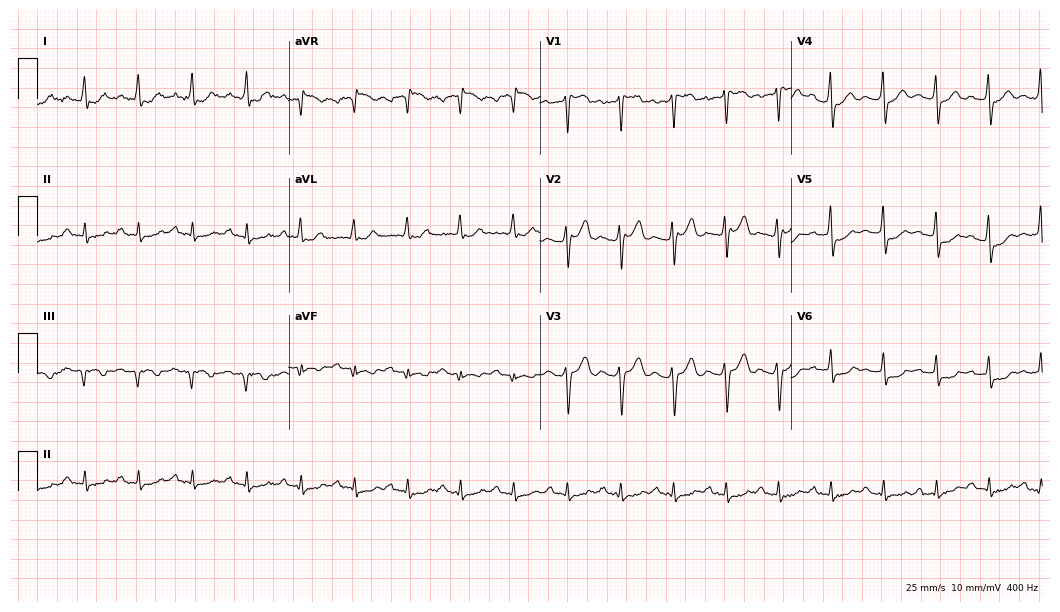
Resting 12-lead electrocardiogram (10.2-second recording at 400 Hz). Patient: a 49-year-old female. The tracing shows sinus tachycardia (a sinus rate of 100 beats per minute or more).